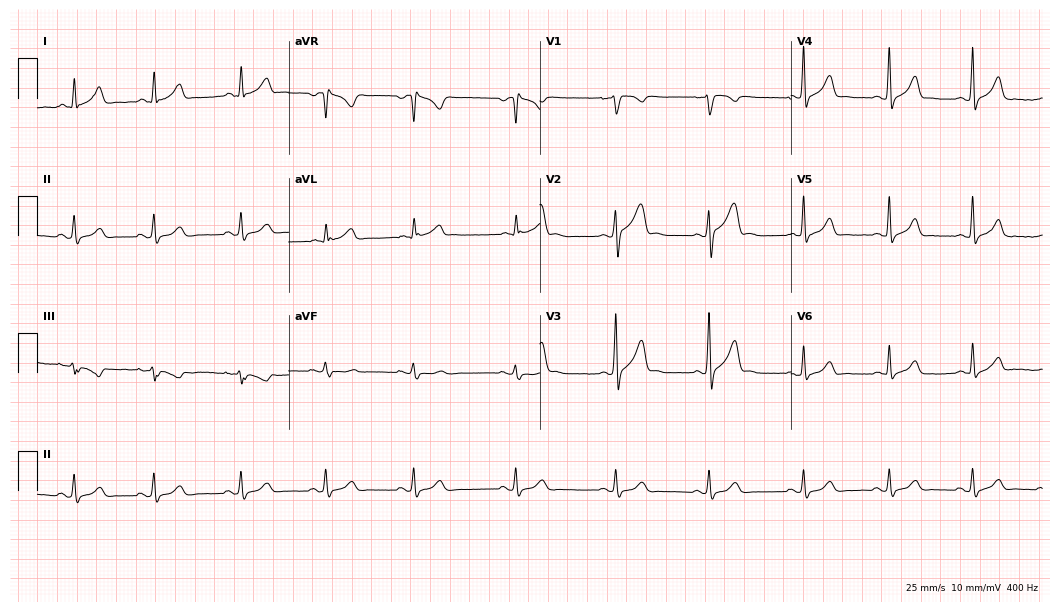
Standard 12-lead ECG recorded from a 24-year-old male patient. Read as a normal ECG.